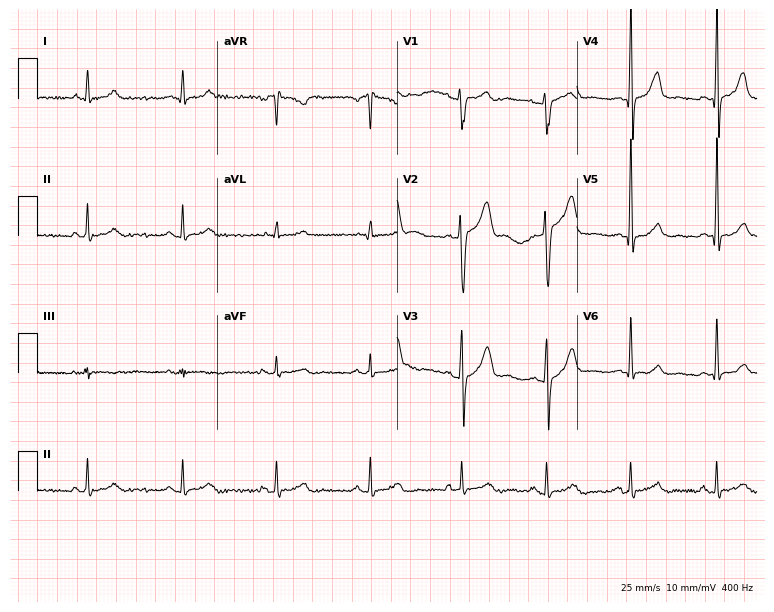
Resting 12-lead electrocardiogram. Patient: a 29-year-old male. Read as a normal ECG.